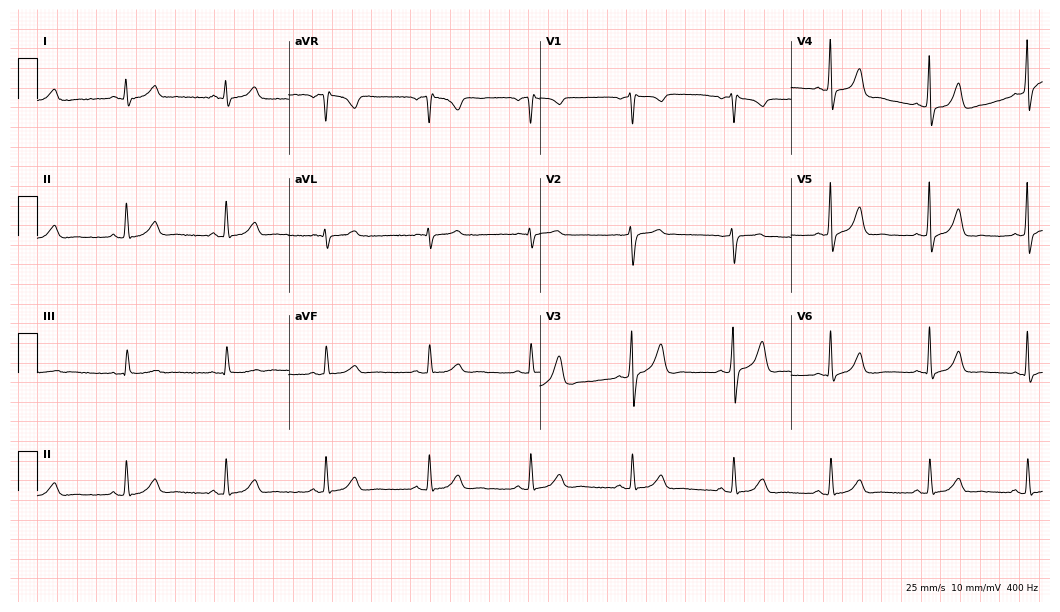
12-lead ECG from a male, 56 years old (10.2-second recording at 400 Hz). Recorded interpretation: within normal limits.